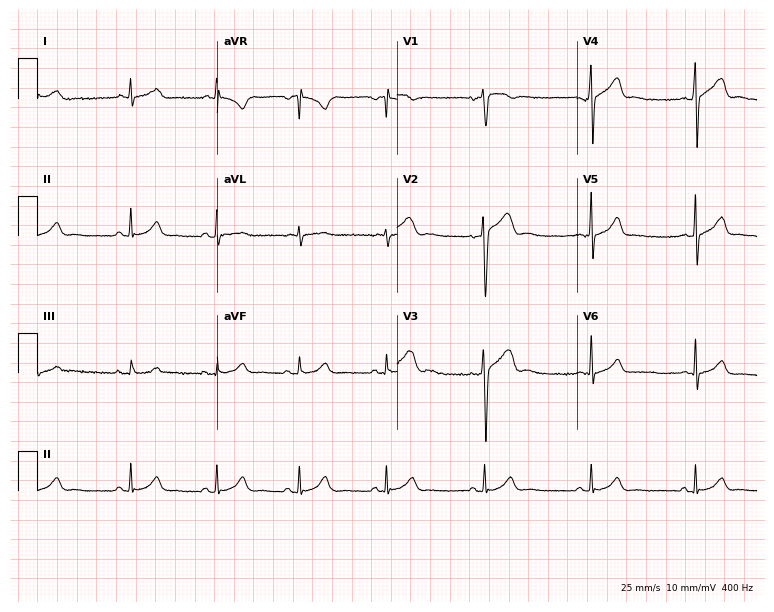
12-lead ECG (7.3-second recording at 400 Hz) from a man, 25 years old. Labelled as a normal ECG.